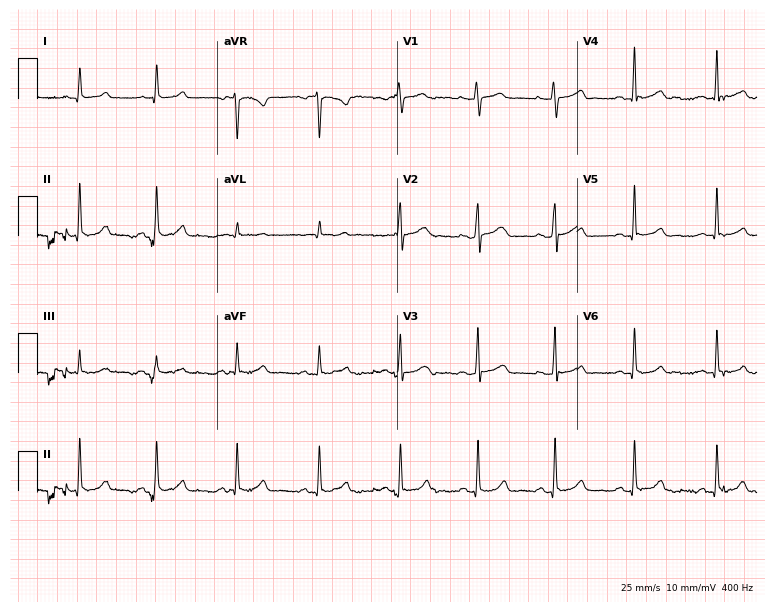
Resting 12-lead electrocardiogram. Patient: a 31-year-old female. Read as a normal ECG.